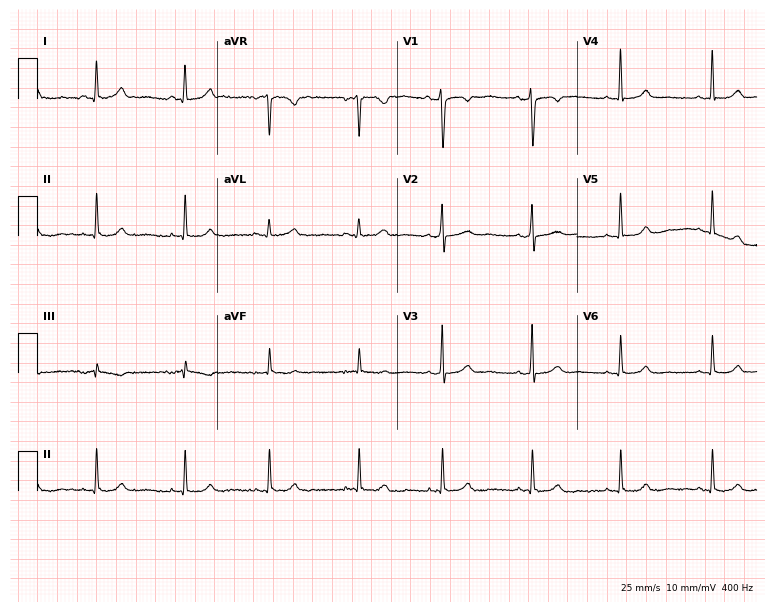
Standard 12-lead ECG recorded from a female patient, 42 years old (7.3-second recording at 400 Hz). None of these six findings is recorded: first-degree AV block, right bundle branch block, left bundle branch block, sinus bradycardia, atrial fibrillation, sinus tachycardia.